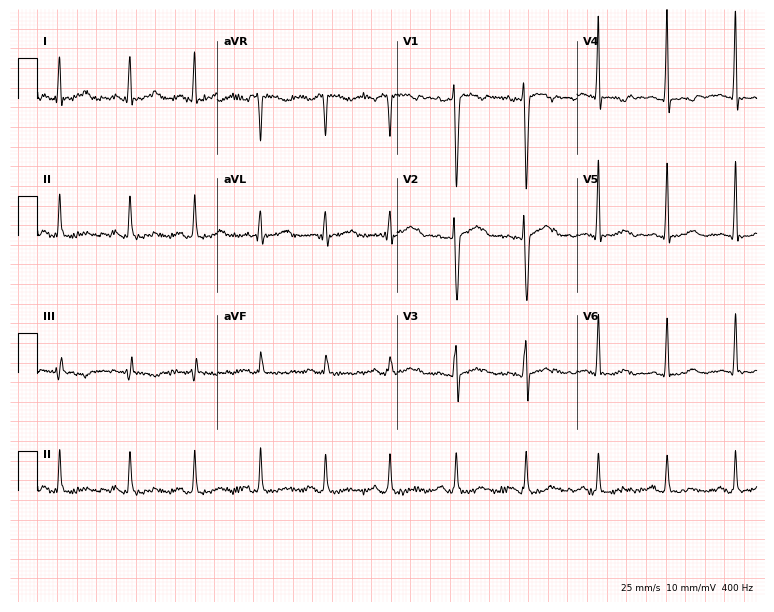
Electrocardiogram (7.3-second recording at 400 Hz), a 32-year-old female. Of the six screened findings (first-degree AV block, right bundle branch block, left bundle branch block, sinus bradycardia, atrial fibrillation, sinus tachycardia), none is recorded.